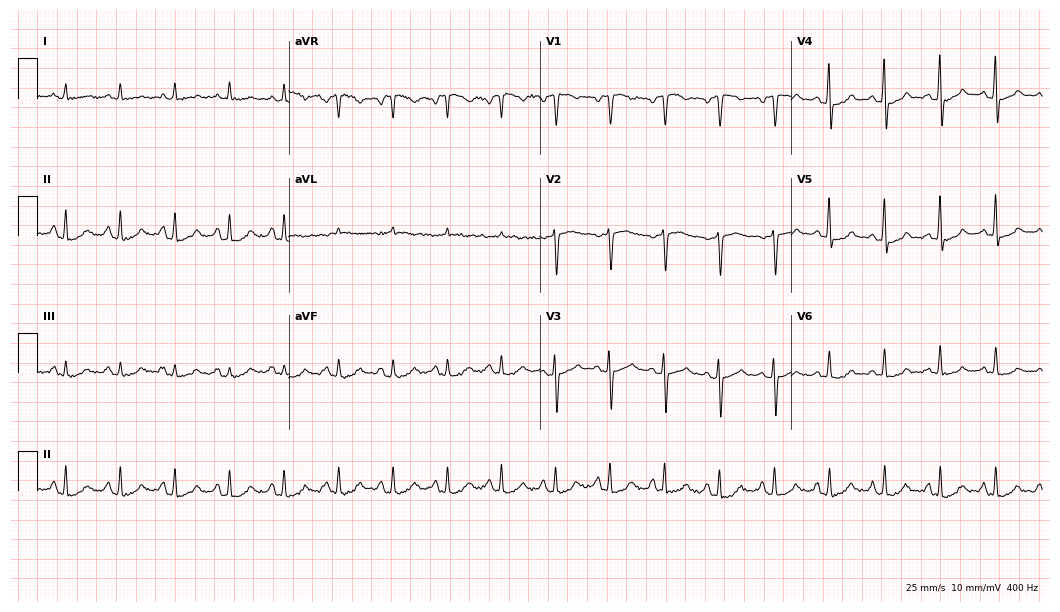
12-lead ECG (10.2-second recording at 400 Hz) from a man, 65 years old. Findings include sinus tachycardia (a sinus rate of 100 beats per minute or more).